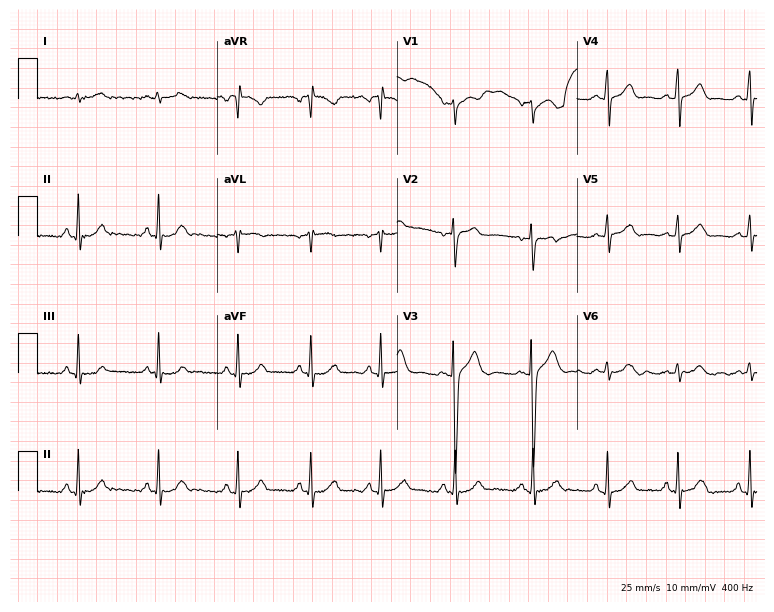
12-lead ECG from a 22-year-old female patient. Recorded interpretation: within normal limits.